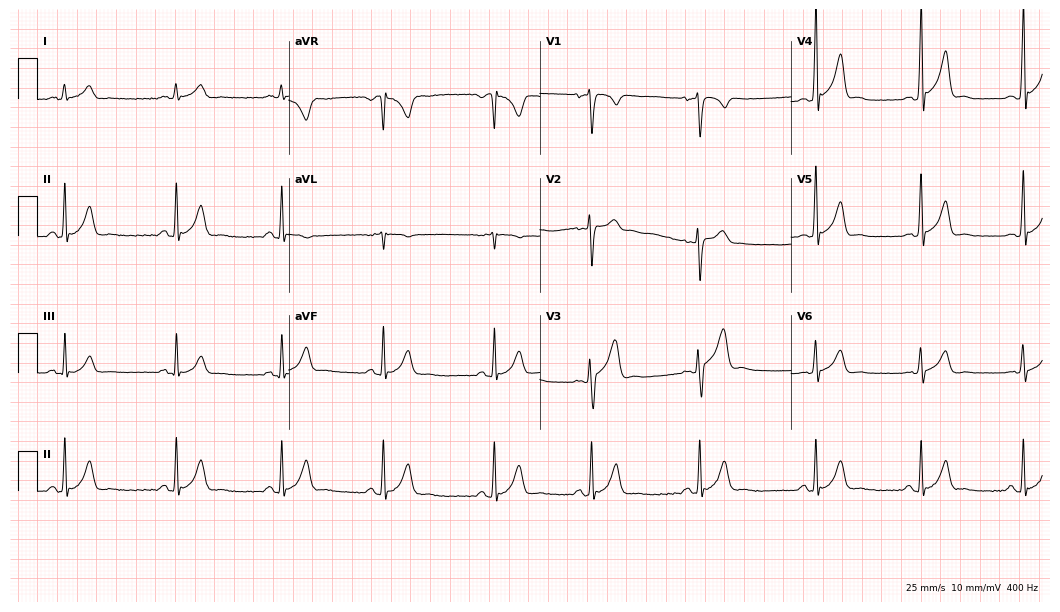
Standard 12-lead ECG recorded from a 25-year-old male patient (10.2-second recording at 400 Hz). Read as a normal ECG.